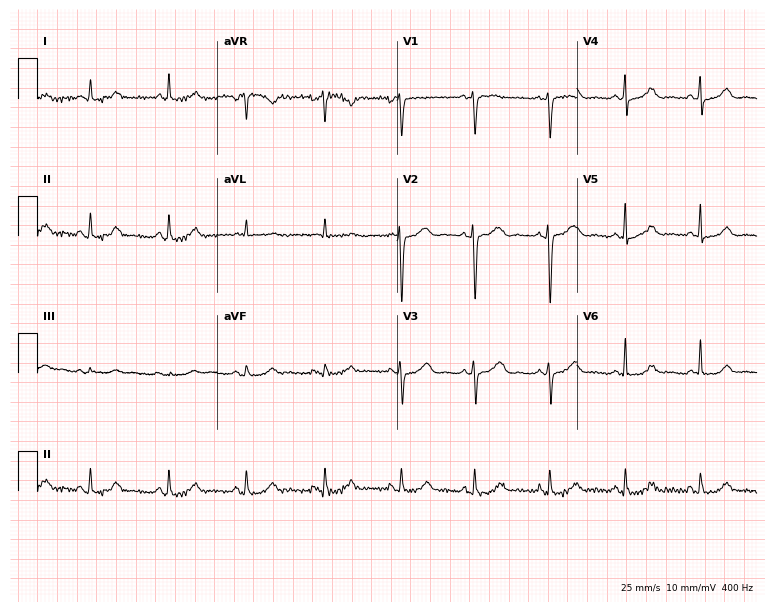
ECG (7.3-second recording at 400 Hz) — a female, 51 years old. Screened for six findings — first-degree AV block, right bundle branch block, left bundle branch block, sinus bradycardia, atrial fibrillation, sinus tachycardia — none is recorded.